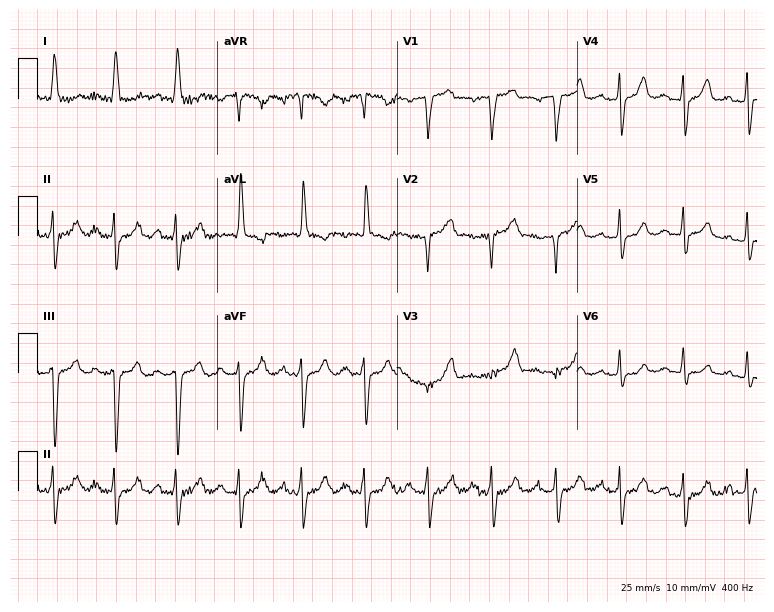
Standard 12-lead ECG recorded from a 73-year-old woman (7.3-second recording at 400 Hz). The tracing shows first-degree AV block.